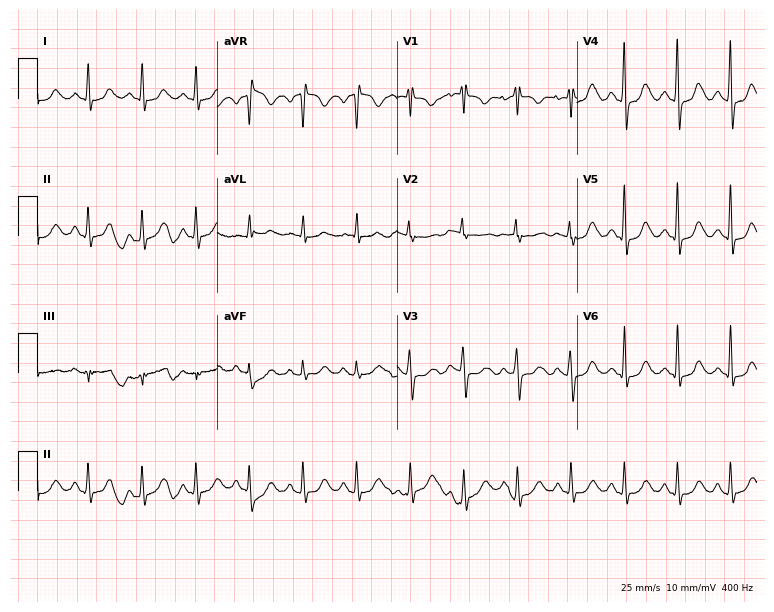
ECG — a 56-year-old female. Findings include sinus tachycardia (a sinus rate of 100 beats per minute or more).